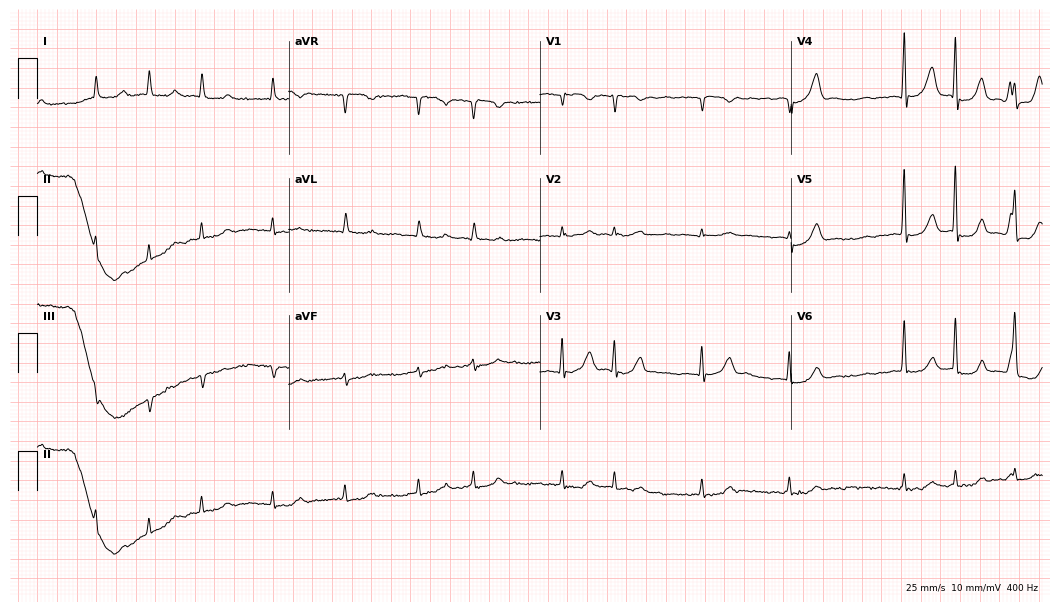
ECG (10.2-second recording at 400 Hz) — a male, 82 years old. Screened for six findings — first-degree AV block, right bundle branch block, left bundle branch block, sinus bradycardia, atrial fibrillation, sinus tachycardia — none is recorded.